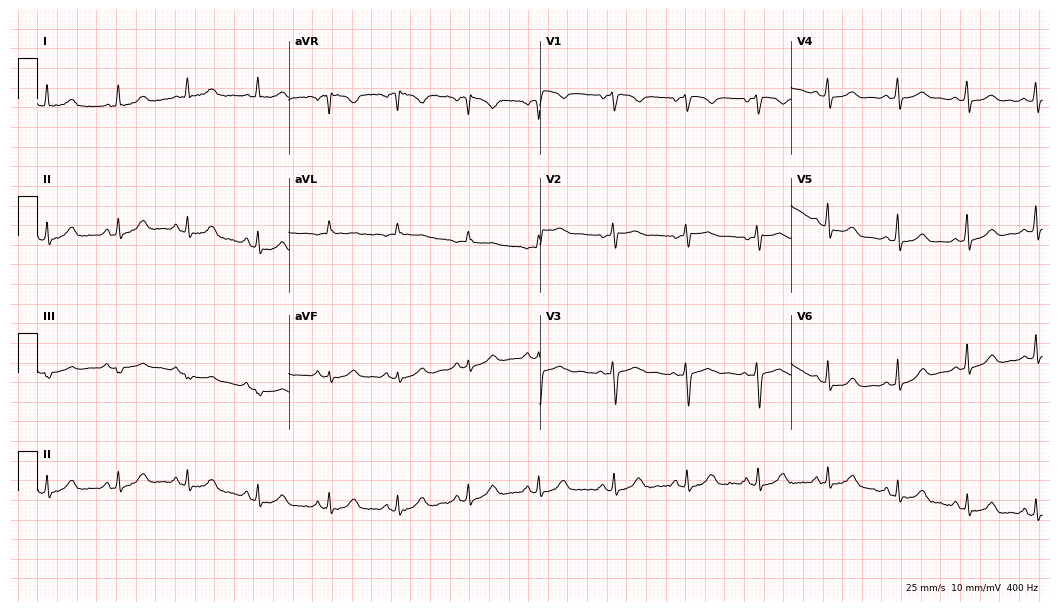
12-lead ECG from a 46-year-old female patient (10.2-second recording at 400 Hz). Recorded interpretation: within normal limits.